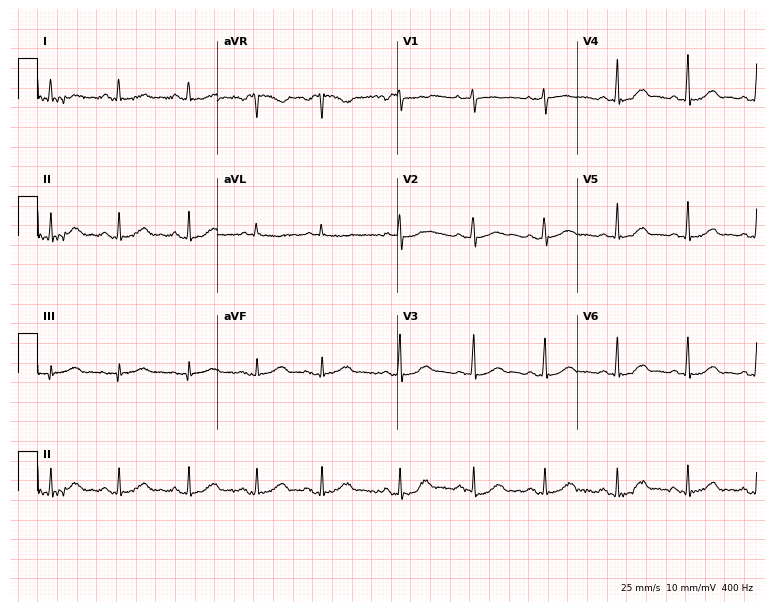
ECG (7.3-second recording at 400 Hz) — a 61-year-old woman. Screened for six findings — first-degree AV block, right bundle branch block, left bundle branch block, sinus bradycardia, atrial fibrillation, sinus tachycardia — none is recorded. Other findings, if any, are not listed.